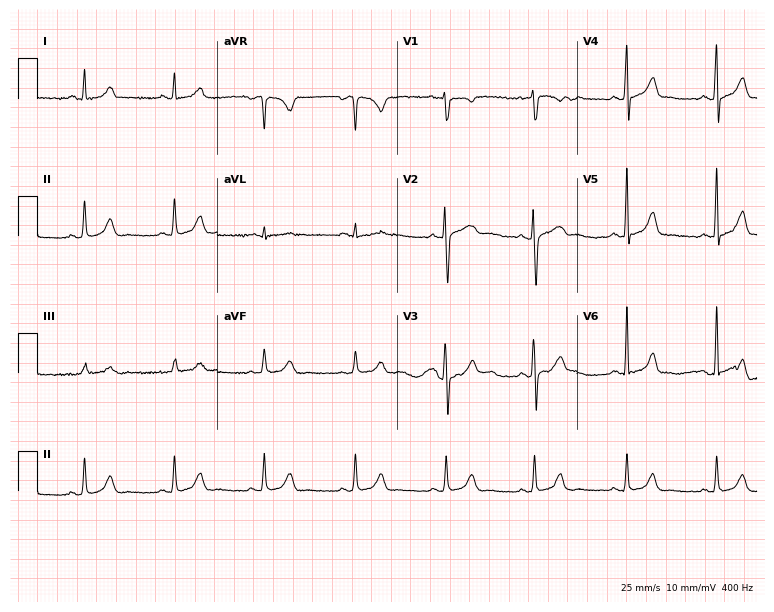
Standard 12-lead ECG recorded from a 28-year-old woman (7.3-second recording at 400 Hz). Read as a normal ECG.